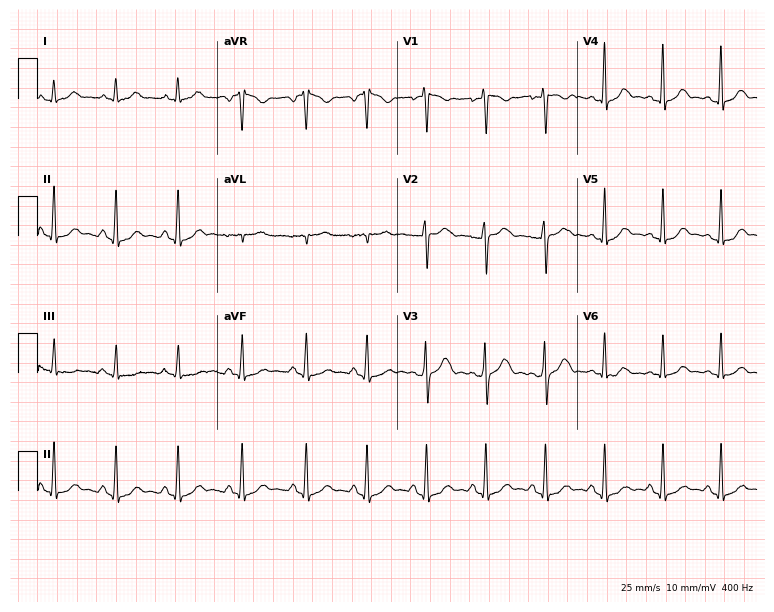
ECG — a 25-year-old female patient. Screened for six findings — first-degree AV block, right bundle branch block, left bundle branch block, sinus bradycardia, atrial fibrillation, sinus tachycardia — none is recorded.